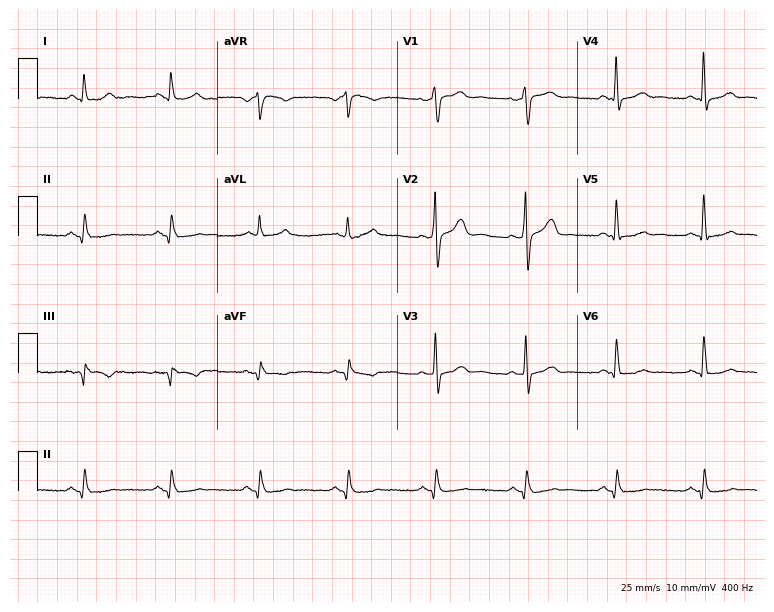
Resting 12-lead electrocardiogram (7.3-second recording at 400 Hz). Patient: a man, 64 years old. None of these six findings is recorded: first-degree AV block, right bundle branch block, left bundle branch block, sinus bradycardia, atrial fibrillation, sinus tachycardia.